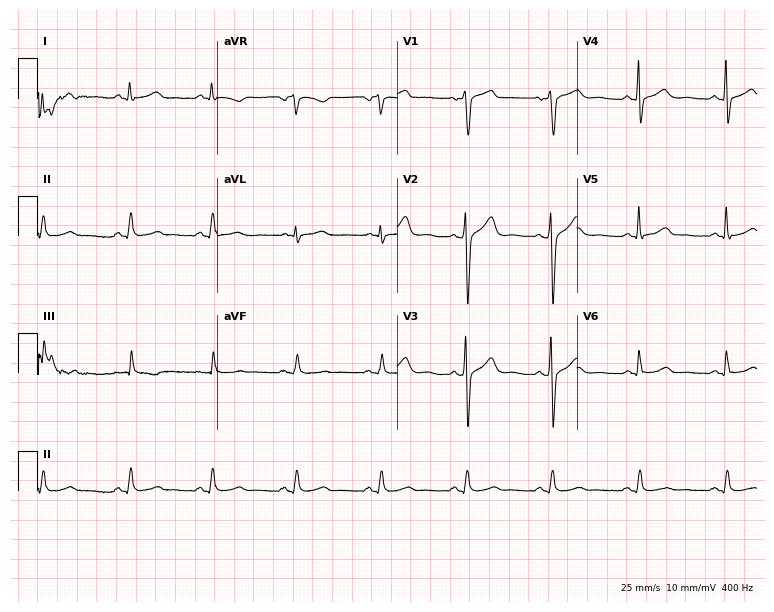
ECG (7.3-second recording at 400 Hz) — a 48-year-old male. Screened for six findings — first-degree AV block, right bundle branch block (RBBB), left bundle branch block (LBBB), sinus bradycardia, atrial fibrillation (AF), sinus tachycardia — none is recorded.